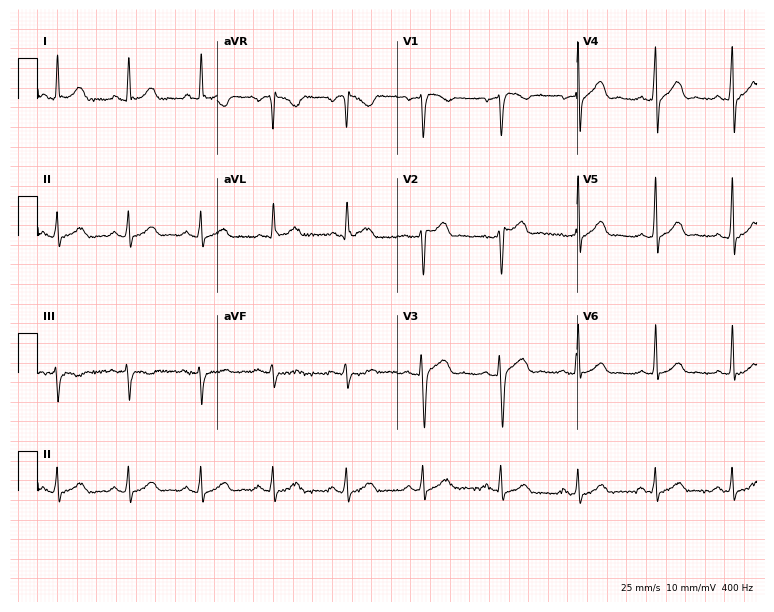
Standard 12-lead ECG recorded from a female patient, 37 years old (7.3-second recording at 400 Hz). Read as a normal ECG.